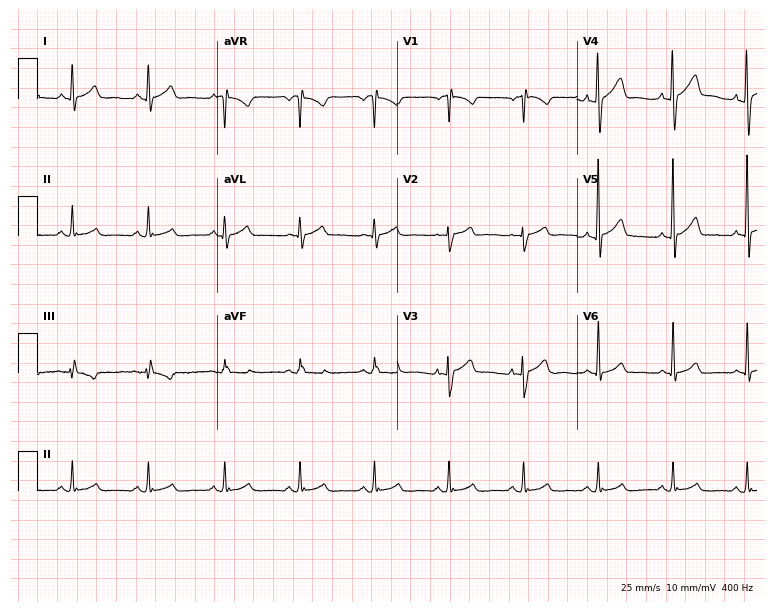
Standard 12-lead ECG recorded from a 49-year-old male patient. None of these six findings is recorded: first-degree AV block, right bundle branch block, left bundle branch block, sinus bradycardia, atrial fibrillation, sinus tachycardia. Findings outside these six are not listed.